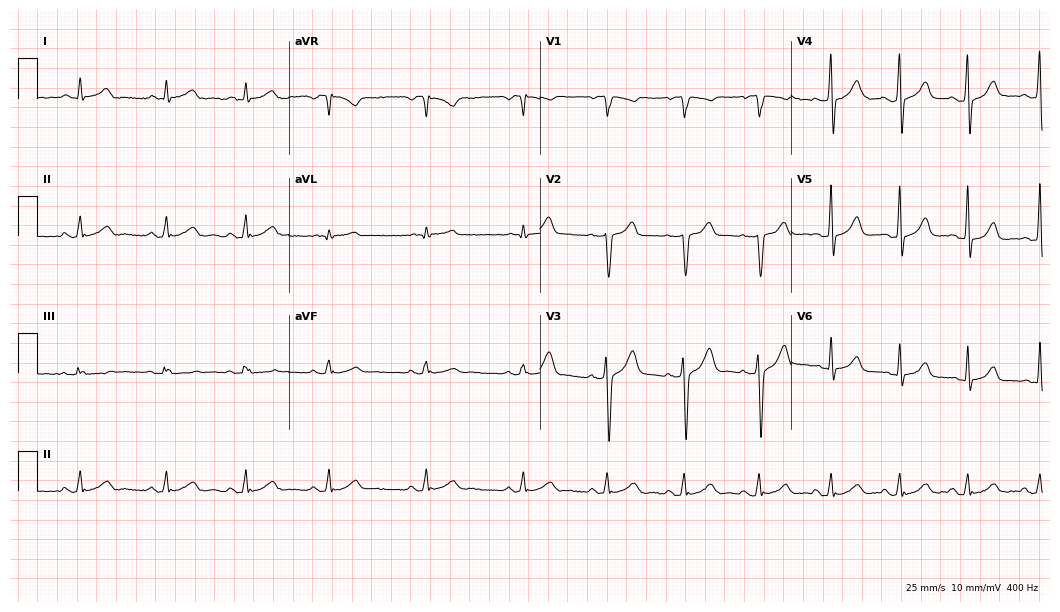
Electrocardiogram, a man, 22 years old. Overall reading on record: normal ECG.